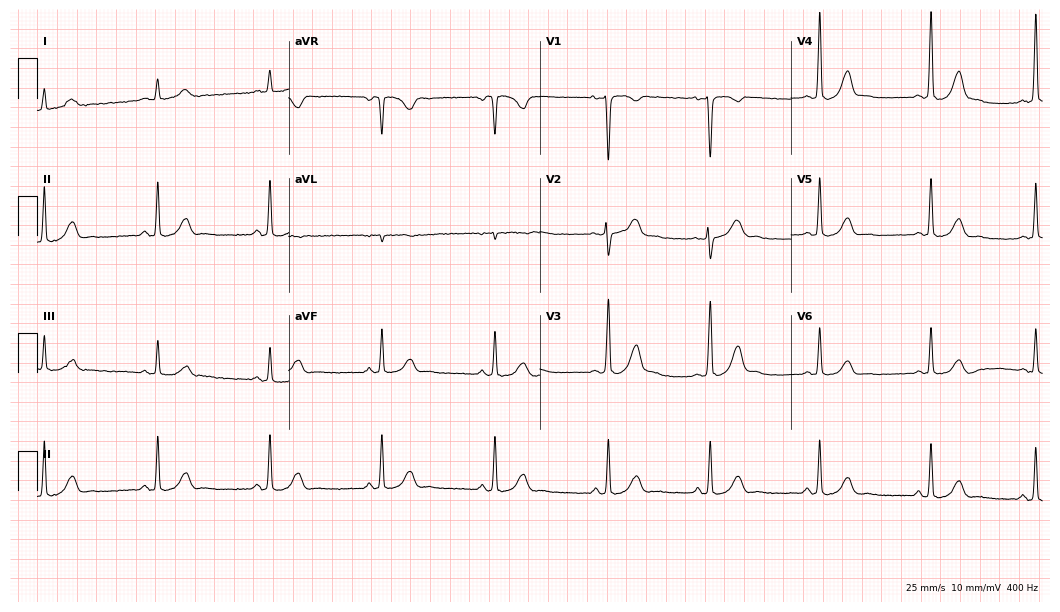
Electrocardiogram (10.2-second recording at 400 Hz), a female patient, 33 years old. Overall reading on record: normal ECG.